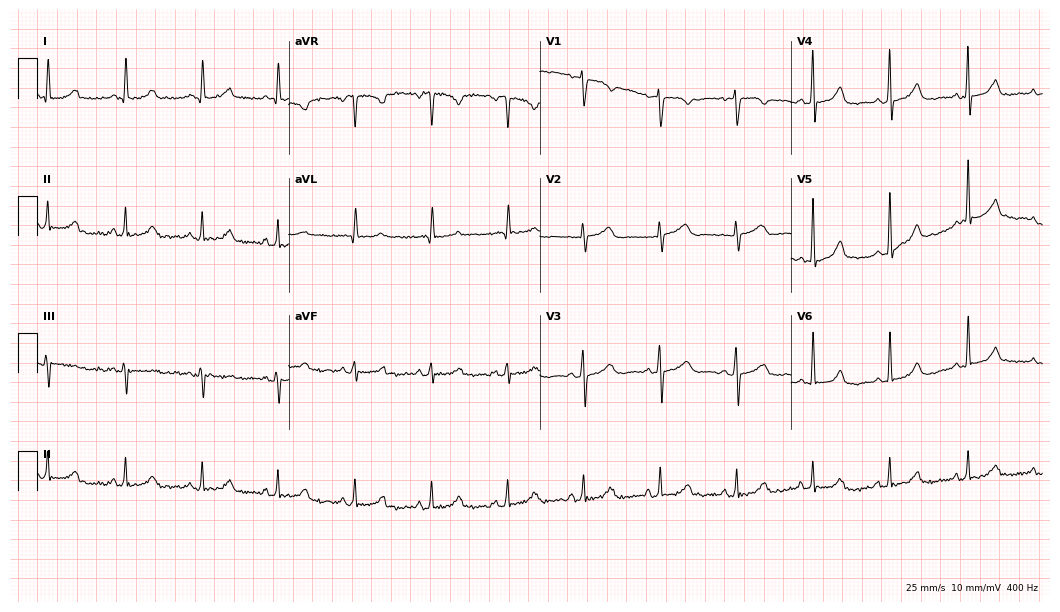
Resting 12-lead electrocardiogram (10.2-second recording at 400 Hz). Patient: a female, 61 years old. Read as a normal ECG.